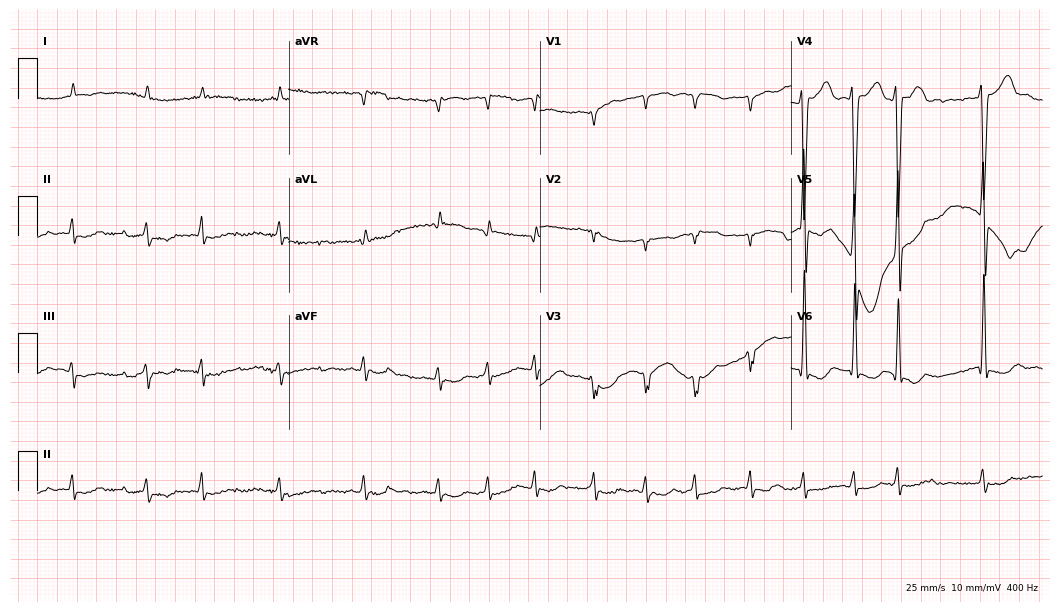
Electrocardiogram (10.2-second recording at 400 Hz), a 67-year-old male patient. Of the six screened findings (first-degree AV block, right bundle branch block (RBBB), left bundle branch block (LBBB), sinus bradycardia, atrial fibrillation (AF), sinus tachycardia), none is recorded.